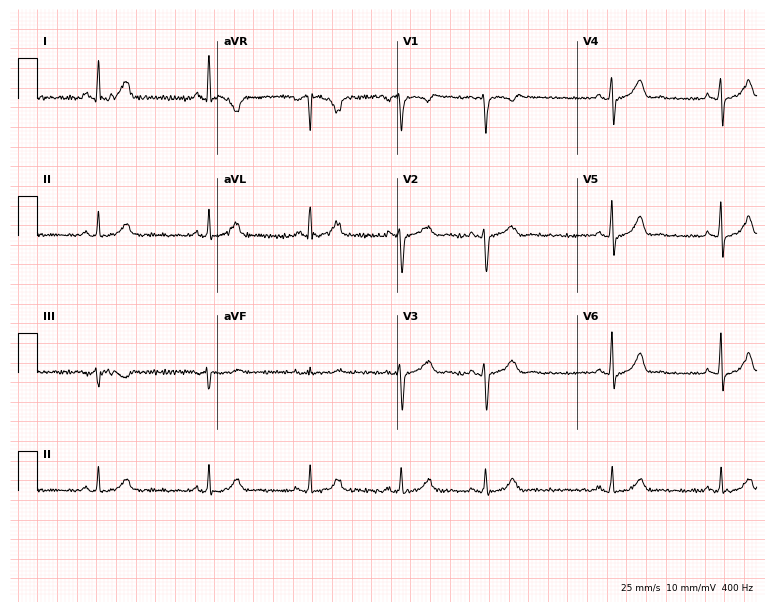
Electrocardiogram (7.3-second recording at 400 Hz), a female patient, 27 years old. Overall reading on record: normal ECG.